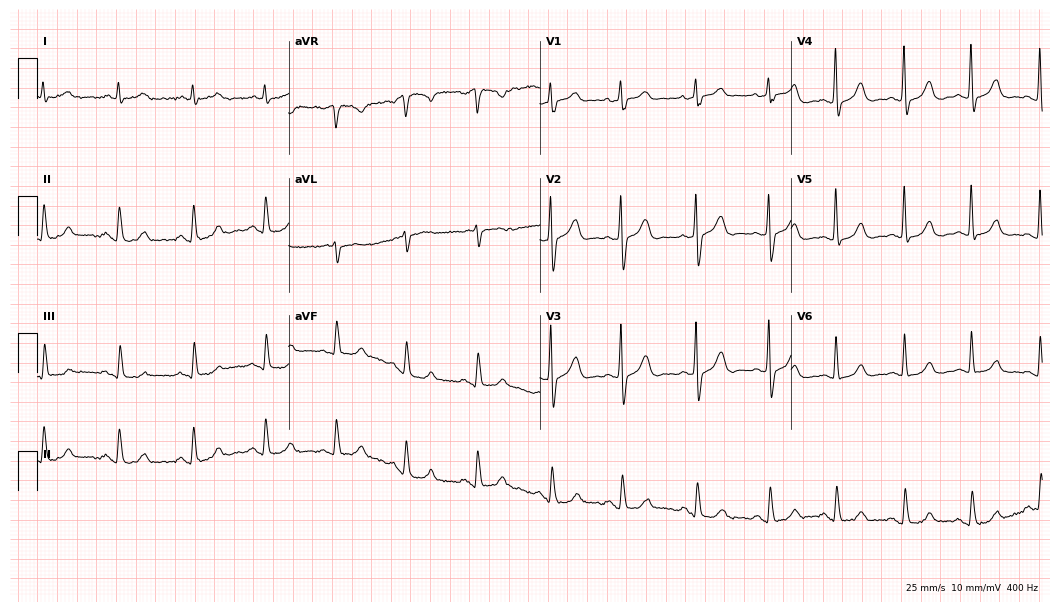
Electrocardiogram (10.2-second recording at 400 Hz), a woman, 82 years old. Overall reading on record: normal ECG.